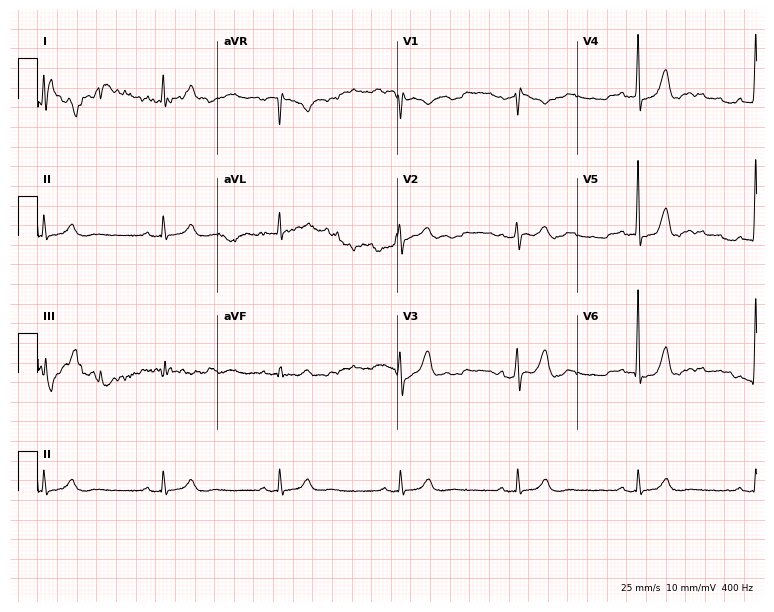
ECG — a 68-year-old male. Findings include sinus bradycardia (a sinus rate of 50 beats per minute or less).